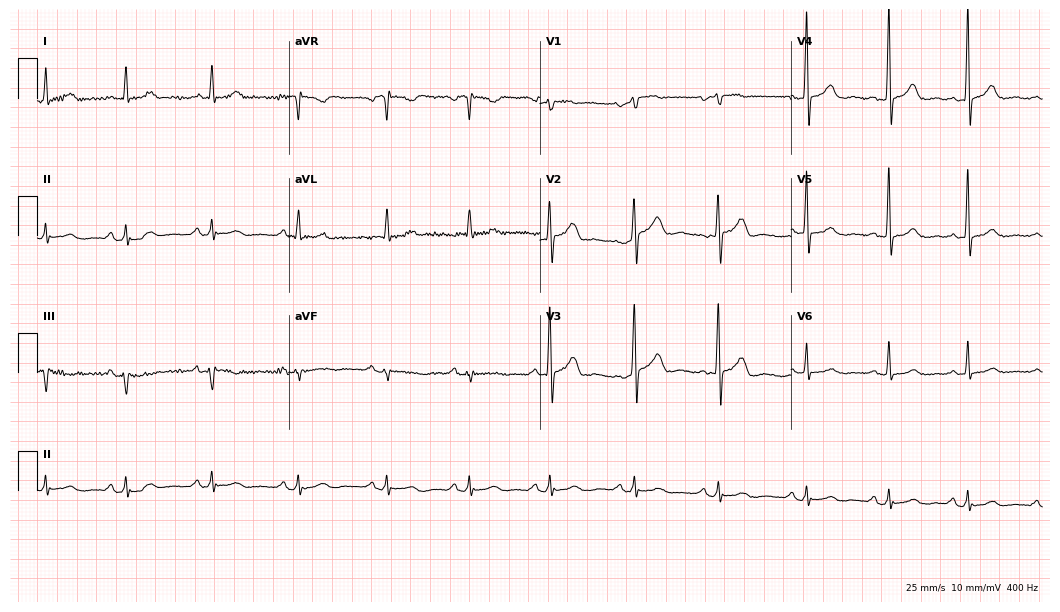
12-lead ECG (10.2-second recording at 400 Hz) from a 57-year-old male. Labelled as a normal ECG.